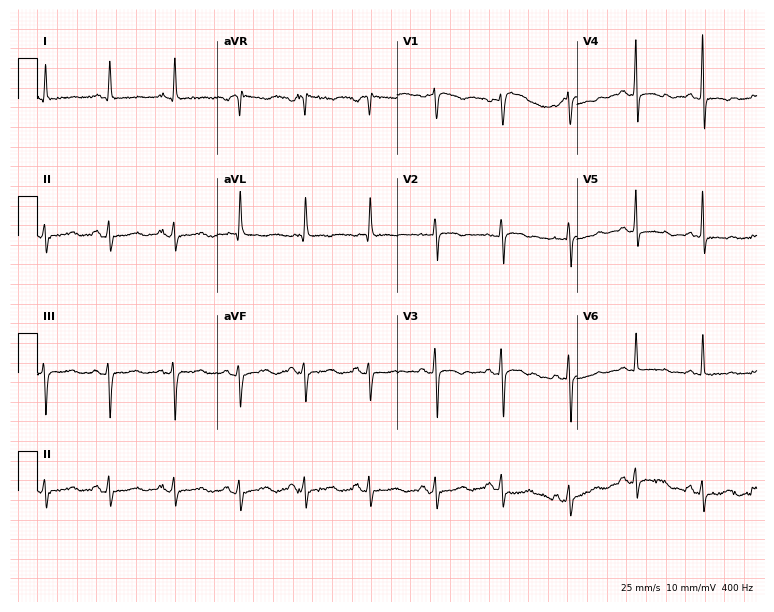
ECG — a 79-year-old female. Screened for six findings — first-degree AV block, right bundle branch block, left bundle branch block, sinus bradycardia, atrial fibrillation, sinus tachycardia — none is recorded.